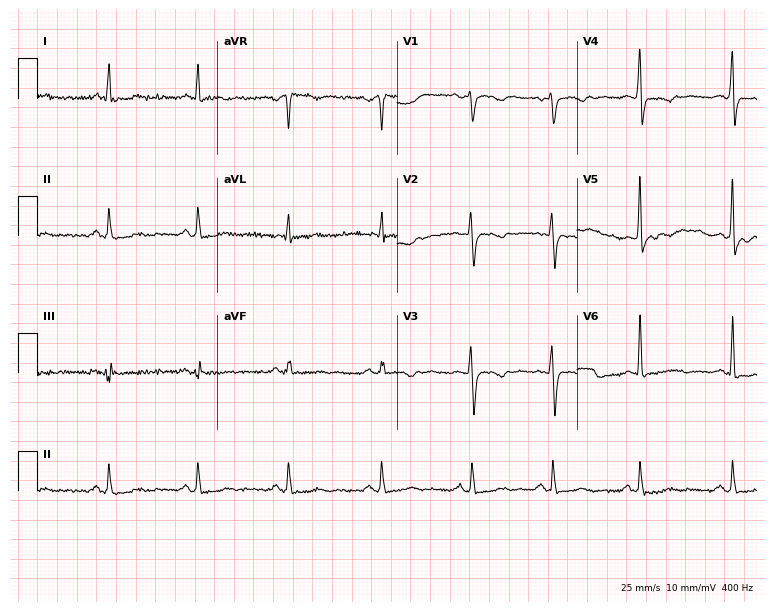
ECG (7.3-second recording at 400 Hz) — a 35-year-old woman. Screened for six findings — first-degree AV block, right bundle branch block (RBBB), left bundle branch block (LBBB), sinus bradycardia, atrial fibrillation (AF), sinus tachycardia — none is recorded.